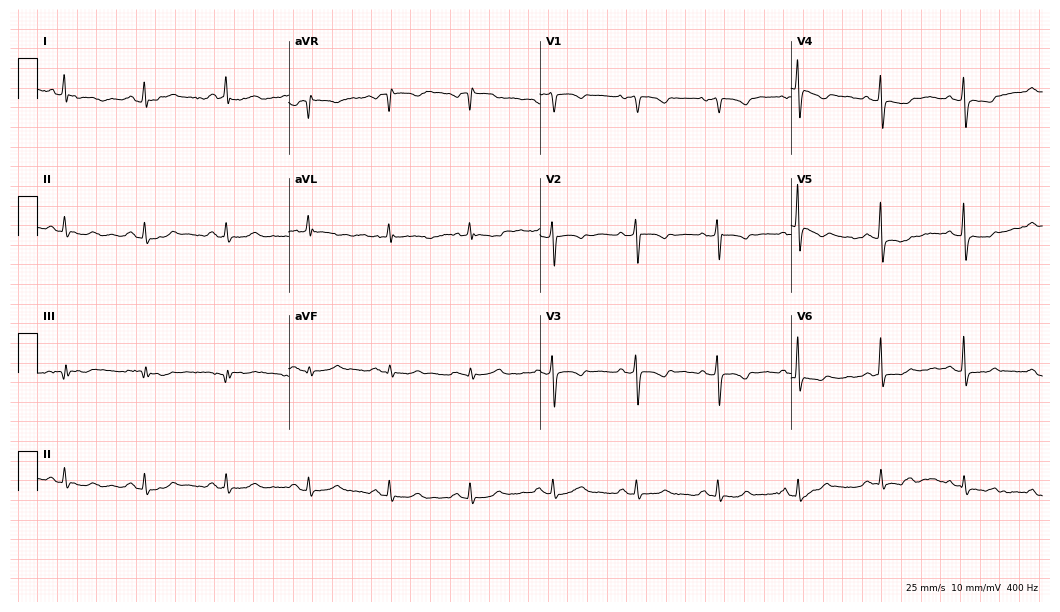
ECG (10.2-second recording at 400 Hz) — a 65-year-old woman. Screened for six findings — first-degree AV block, right bundle branch block, left bundle branch block, sinus bradycardia, atrial fibrillation, sinus tachycardia — none is recorded.